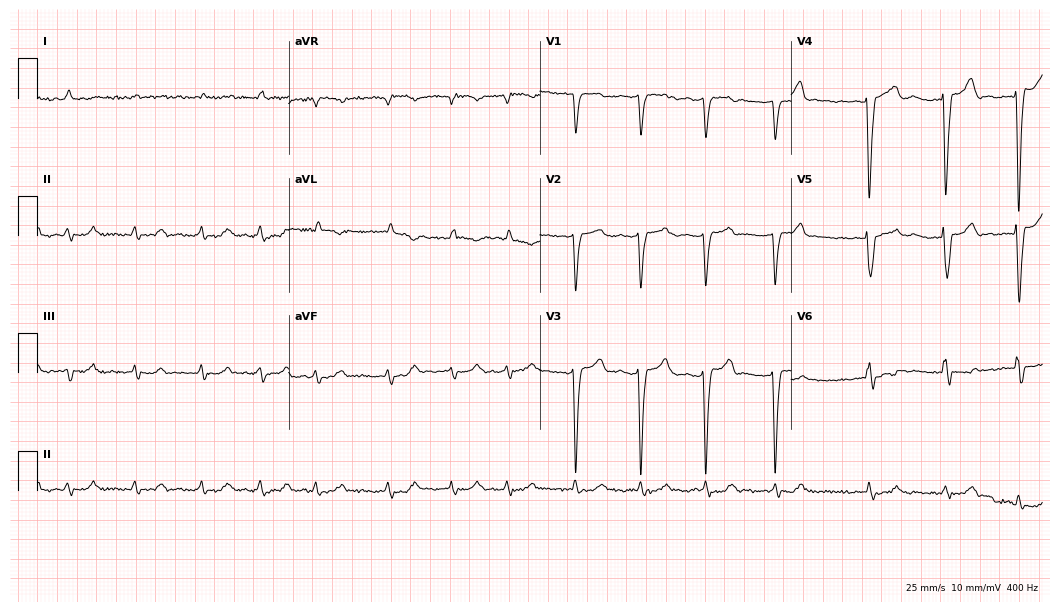
12-lead ECG from a 71-year-old female (10.2-second recording at 400 Hz). No first-degree AV block, right bundle branch block, left bundle branch block, sinus bradycardia, atrial fibrillation or sinus tachycardia recorded for this tracing.